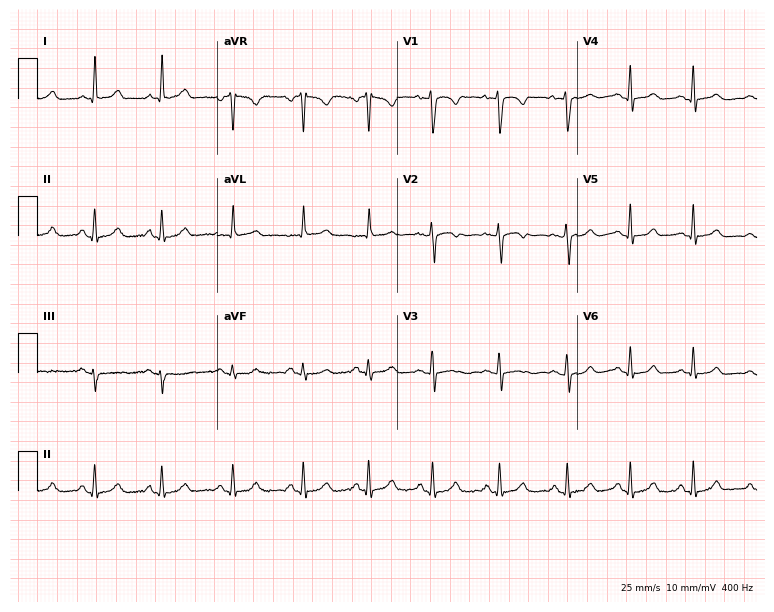
12-lead ECG from a female patient, 39 years old. Labelled as a normal ECG.